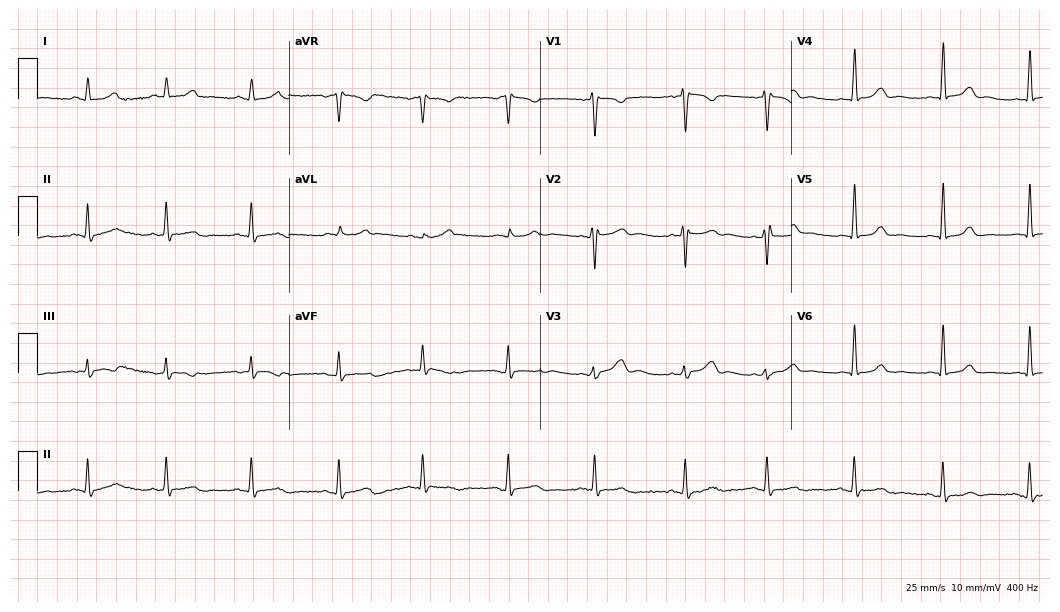
Electrocardiogram, a 29-year-old woman. Overall reading on record: normal ECG.